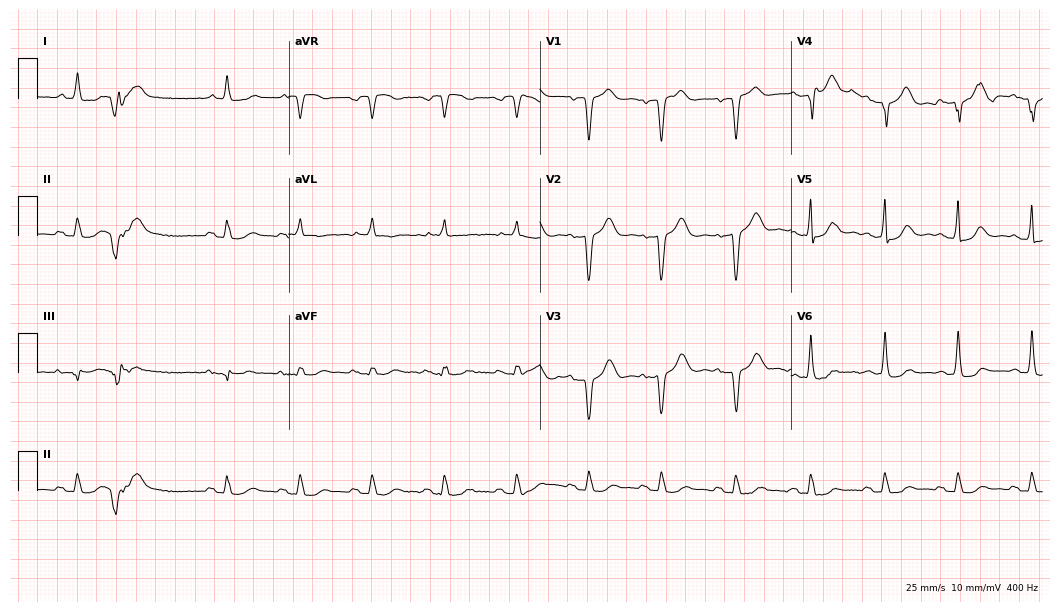
Standard 12-lead ECG recorded from a male, 76 years old (10.2-second recording at 400 Hz). None of these six findings is recorded: first-degree AV block, right bundle branch block (RBBB), left bundle branch block (LBBB), sinus bradycardia, atrial fibrillation (AF), sinus tachycardia.